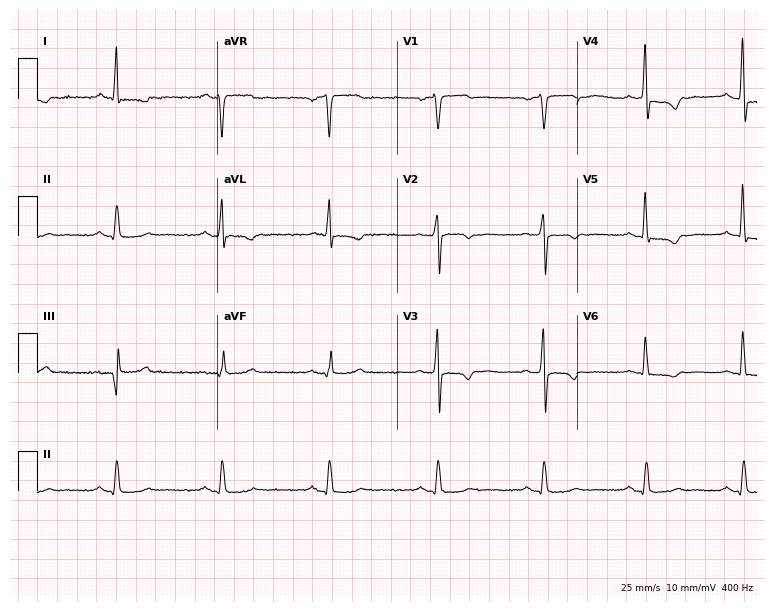
12-lead ECG from a male patient, 52 years old. Screened for six findings — first-degree AV block, right bundle branch block, left bundle branch block, sinus bradycardia, atrial fibrillation, sinus tachycardia — none is recorded. Other findings, if any, are not listed.